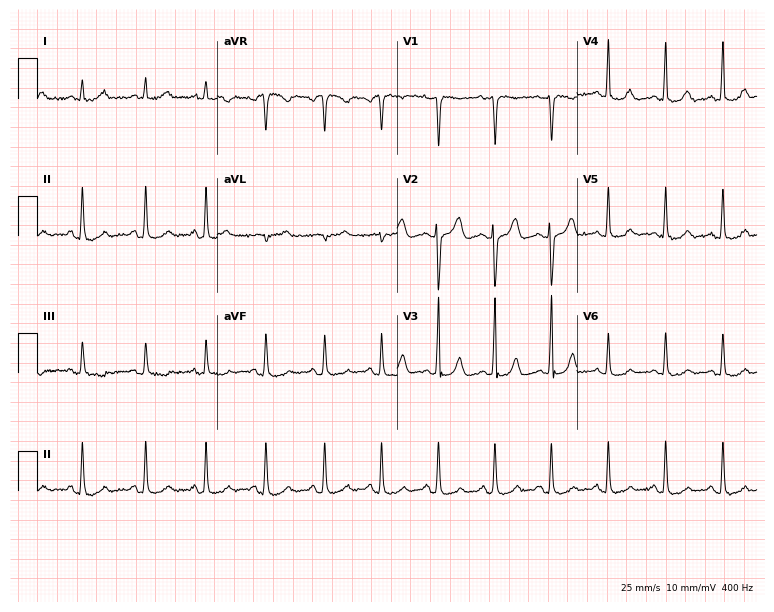
Standard 12-lead ECG recorded from a 30-year-old female patient. Read as a normal ECG.